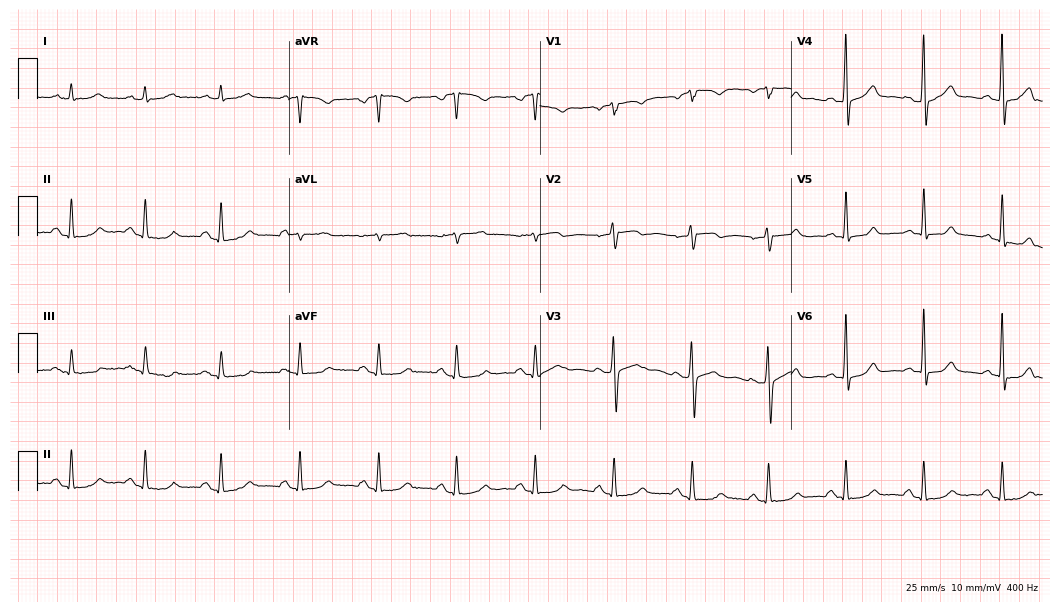
12-lead ECG from a male patient, 77 years old (10.2-second recording at 400 Hz). Recorded interpretation: within normal limits.